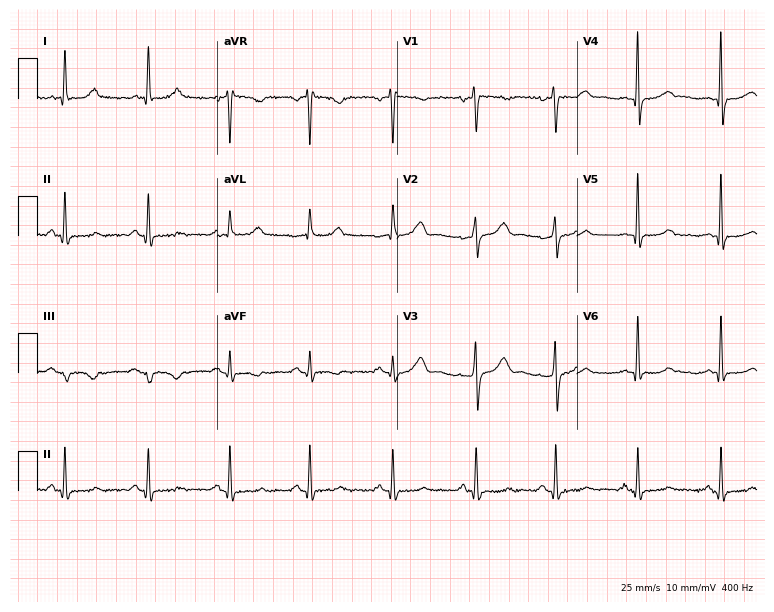
12-lead ECG from a female, 36 years old. No first-degree AV block, right bundle branch block (RBBB), left bundle branch block (LBBB), sinus bradycardia, atrial fibrillation (AF) or sinus tachycardia recorded for this tracing. Other findings, if any, are not listed.